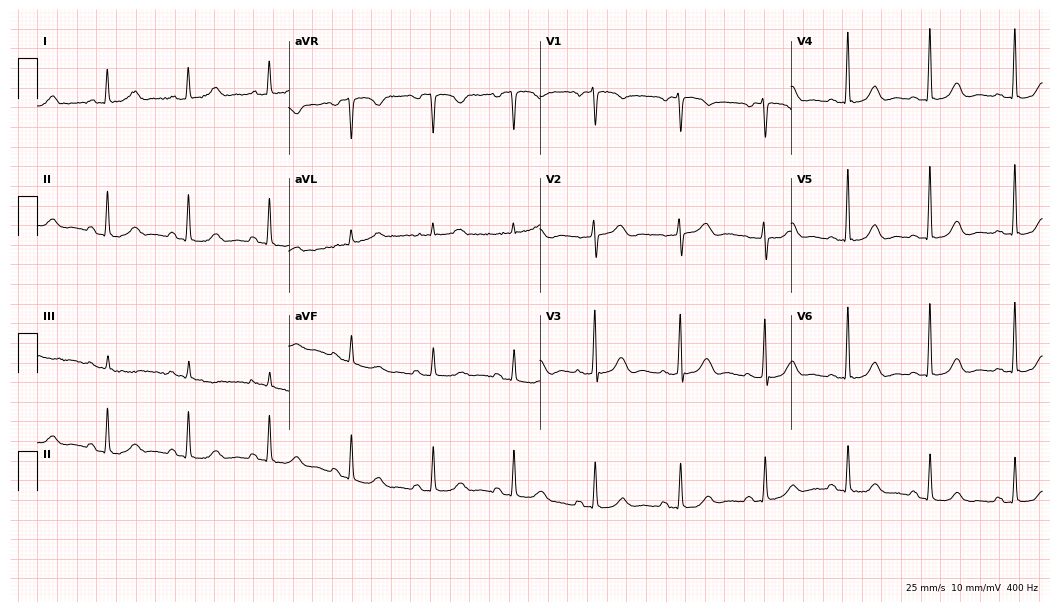
ECG (10.2-second recording at 400 Hz) — a female, 61 years old. Labelled as a normal ECG.